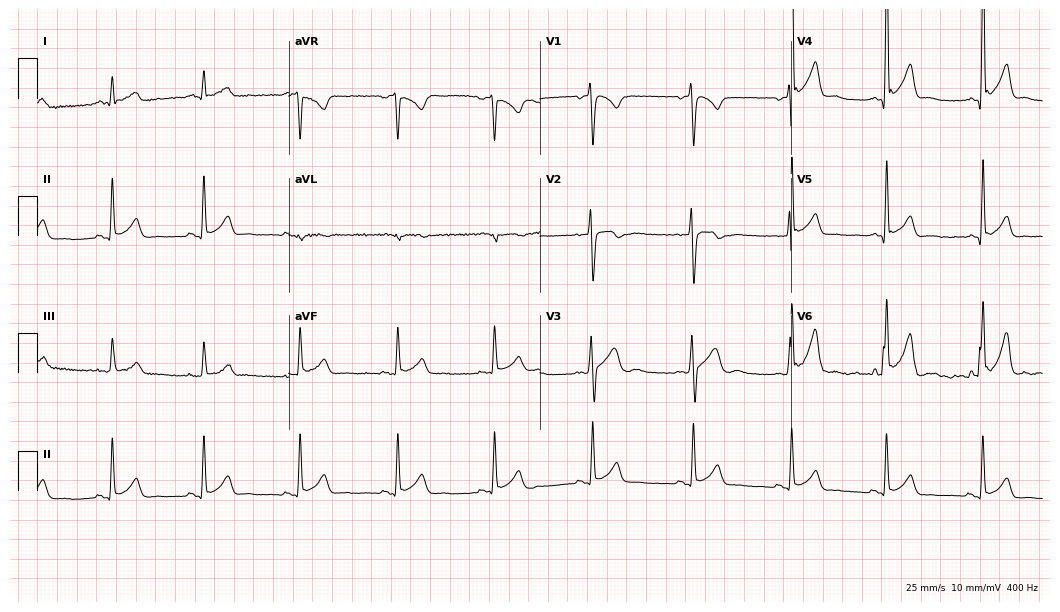
ECG — a 20-year-old man. Labelled as a normal ECG.